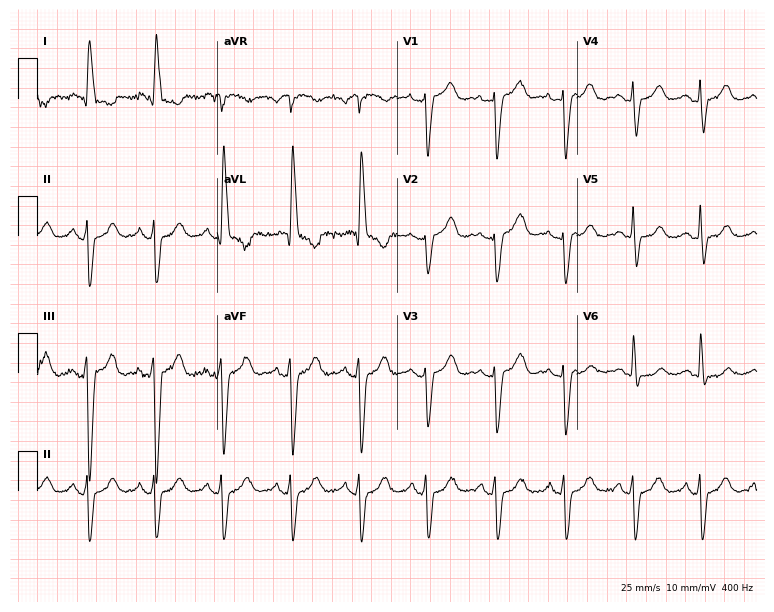
12-lead ECG from a female, 77 years old. Screened for six findings — first-degree AV block, right bundle branch block, left bundle branch block, sinus bradycardia, atrial fibrillation, sinus tachycardia — none is recorded. Other findings, if any, are not listed.